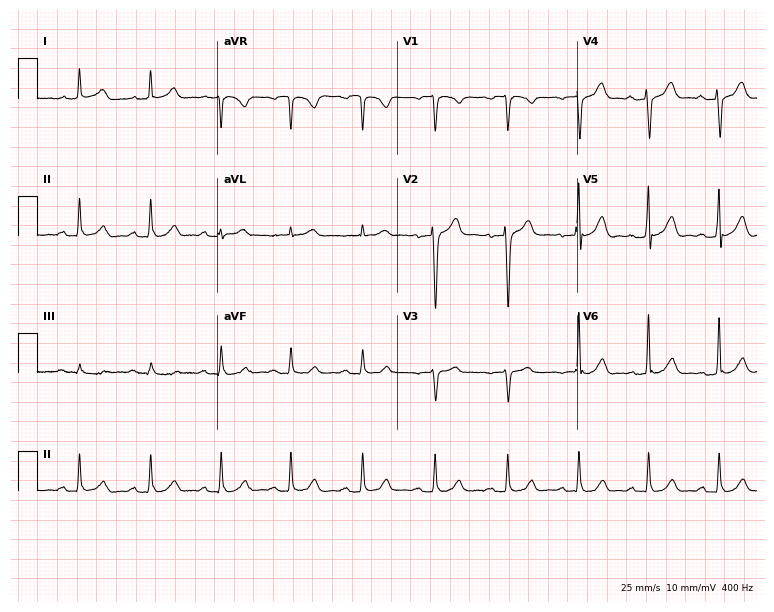
Standard 12-lead ECG recorded from a male patient, 73 years old (7.3-second recording at 400 Hz). Read as a normal ECG.